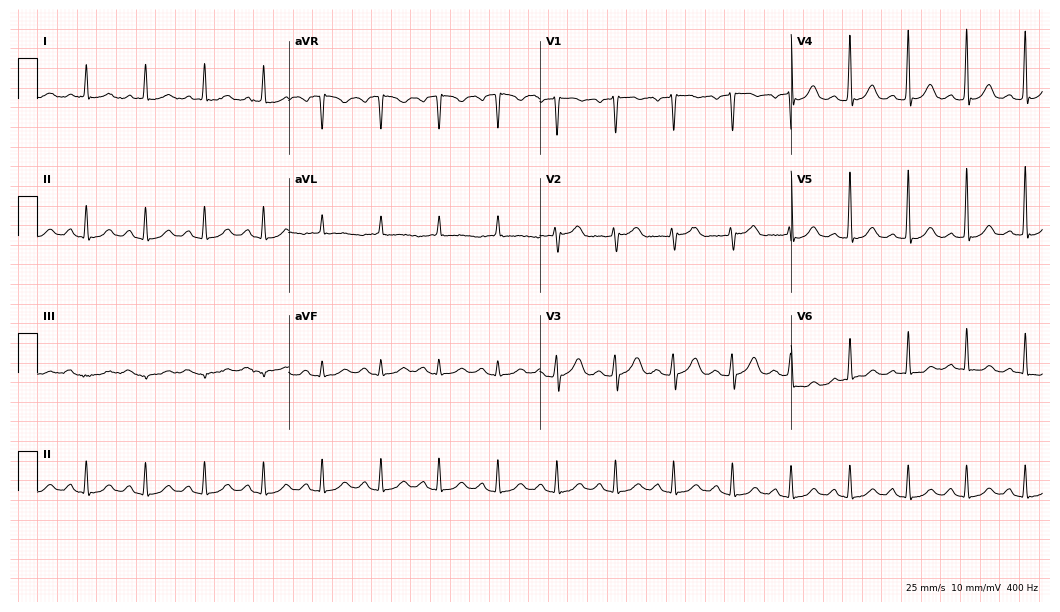
12-lead ECG from a 74-year-old woman (10.2-second recording at 400 Hz). No first-degree AV block, right bundle branch block, left bundle branch block, sinus bradycardia, atrial fibrillation or sinus tachycardia recorded for this tracing.